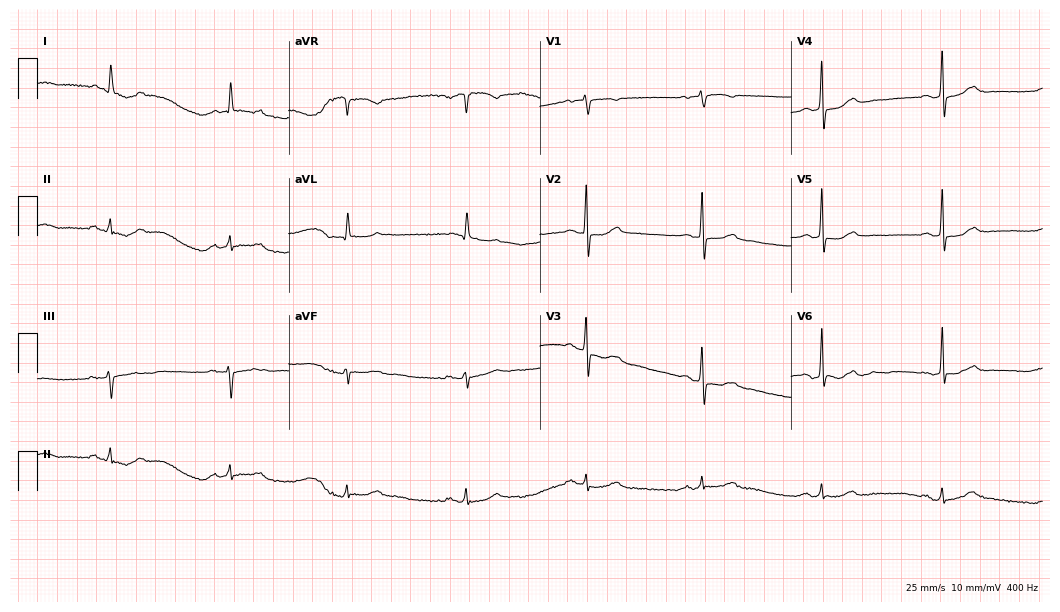
ECG — an 81-year-old woman. Labelled as a normal ECG.